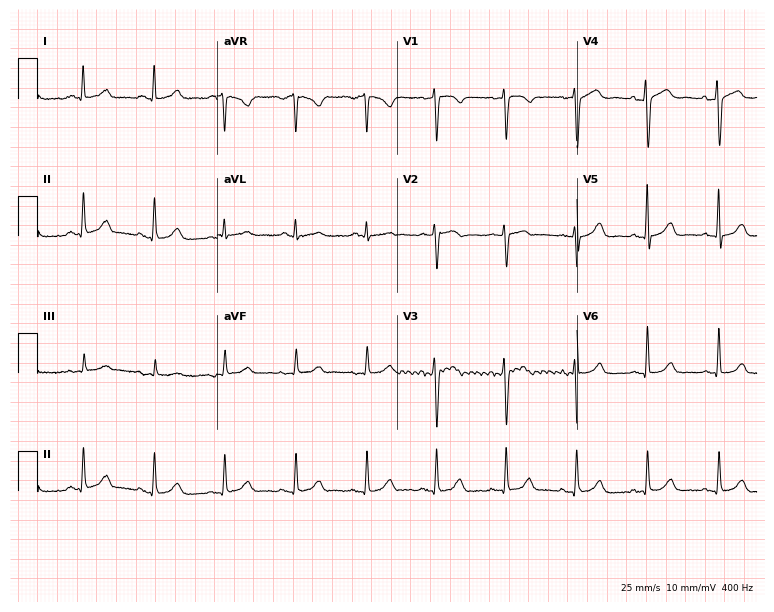
ECG (7.3-second recording at 400 Hz) — a 51-year-old female. Screened for six findings — first-degree AV block, right bundle branch block (RBBB), left bundle branch block (LBBB), sinus bradycardia, atrial fibrillation (AF), sinus tachycardia — none is recorded. Findings outside these six are not listed.